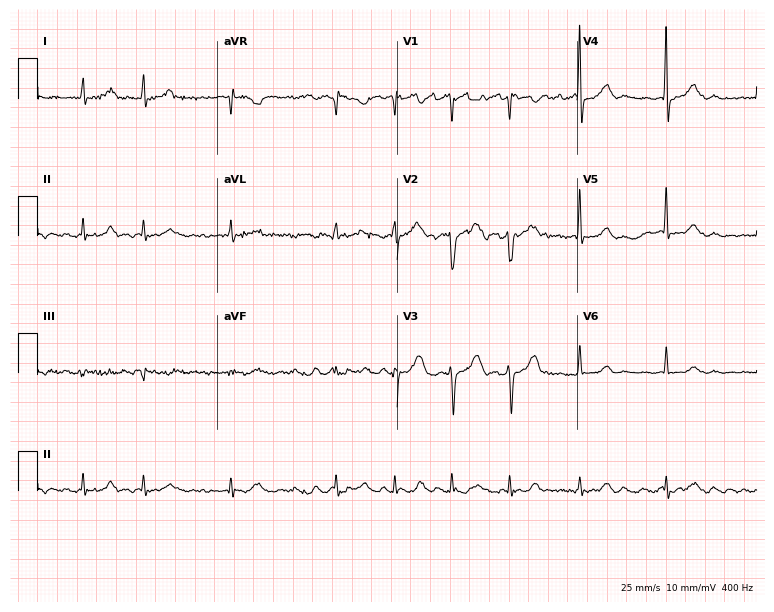
Resting 12-lead electrocardiogram (7.3-second recording at 400 Hz). Patient: a male, 63 years old. The tracing shows atrial fibrillation.